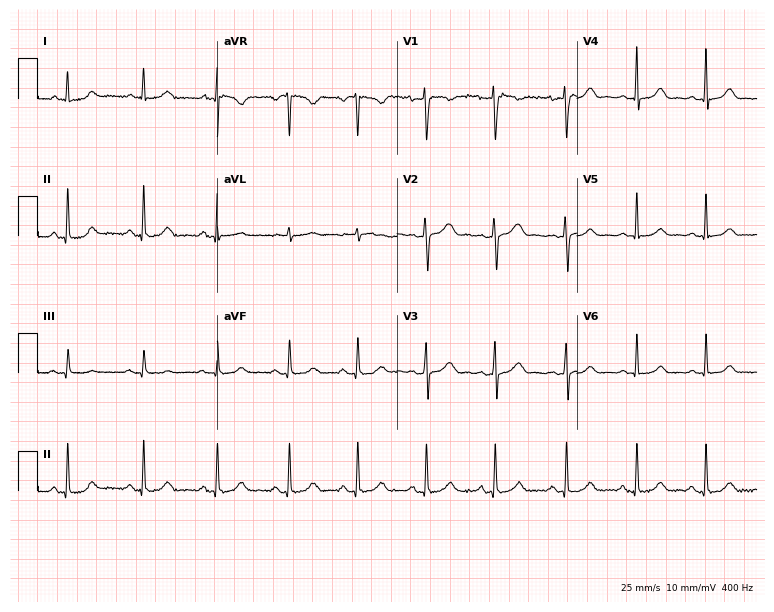
12-lead ECG from a male patient, 40 years old. Labelled as a normal ECG.